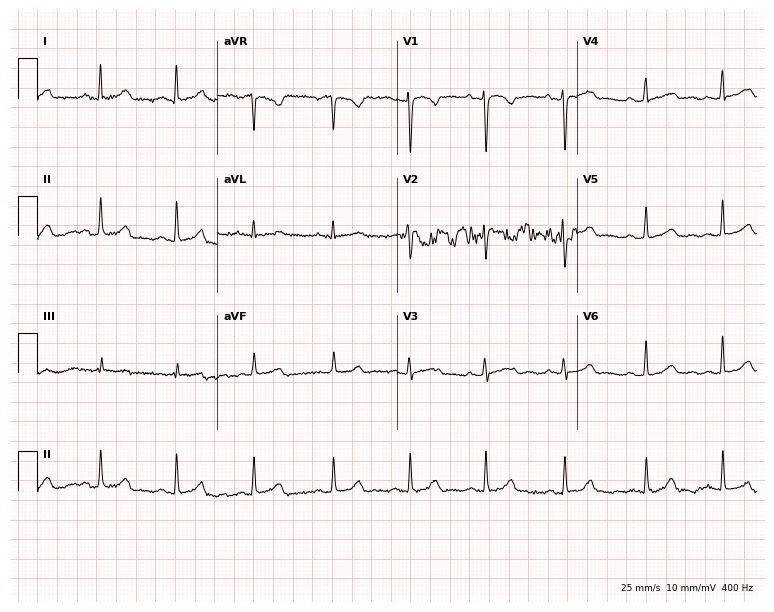
Standard 12-lead ECG recorded from a female, 20 years old (7.3-second recording at 400 Hz). Read as a normal ECG.